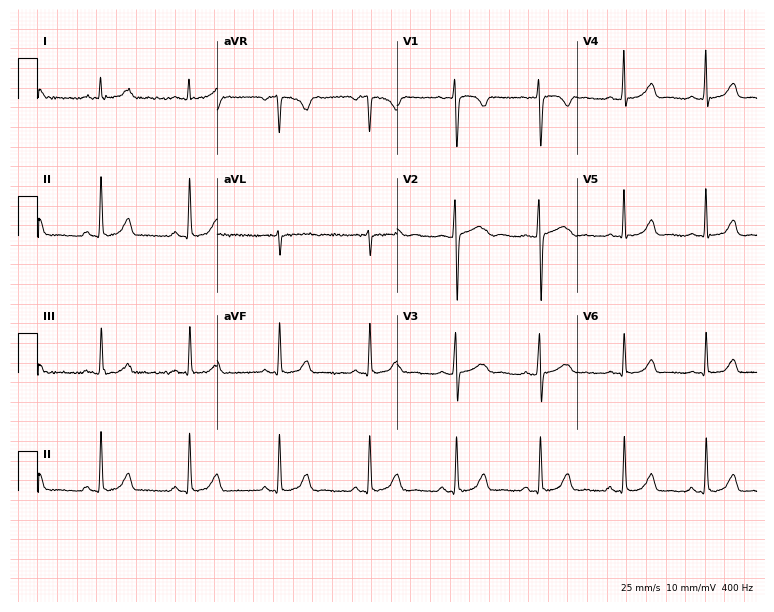
Resting 12-lead electrocardiogram. Patient: a female, 20 years old. Read as a normal ECG.